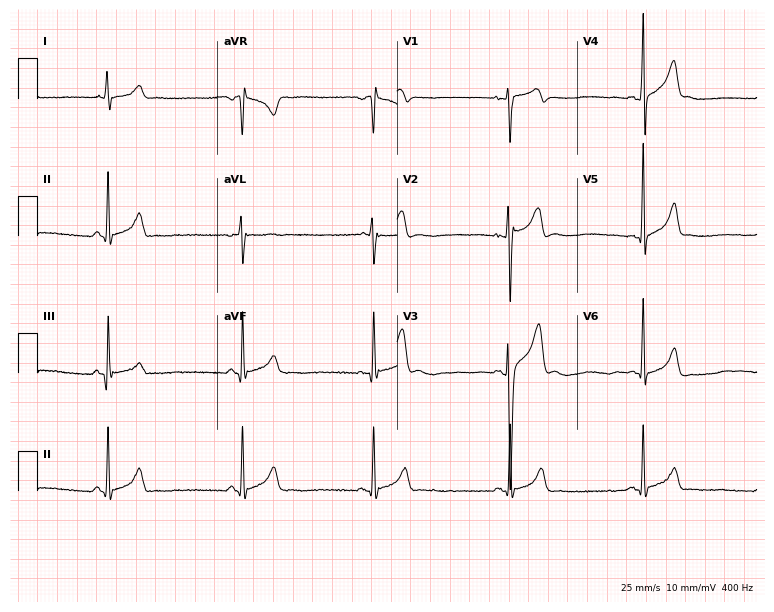
Resting 12-lead electrocardiogram. Patient: a 20-year-old man. The tracing shows sinus bradycardia (a sinus rate of 50 beats per minute or less).